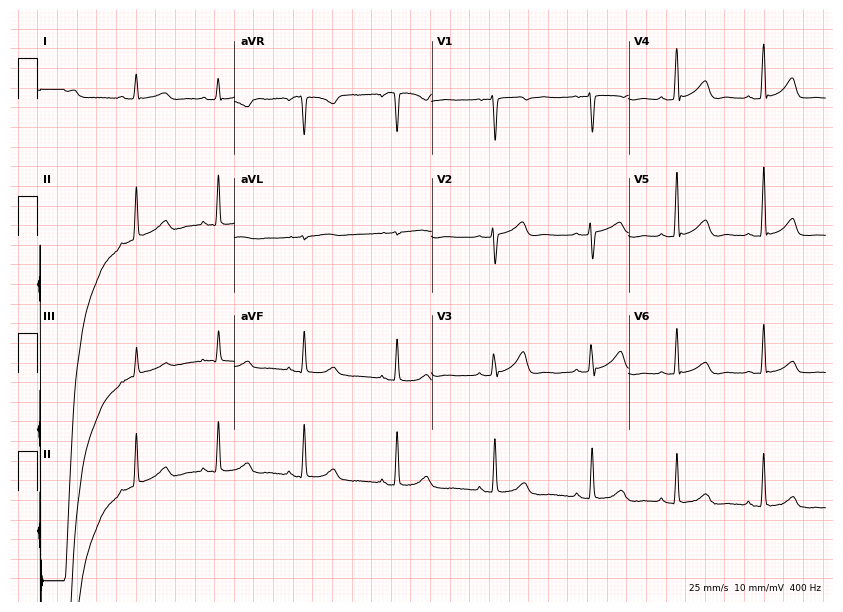
Electrocardiogram (8-second recording at 400 Hz), a 41-year-old female patient. Overall reading on record: normal ECG.